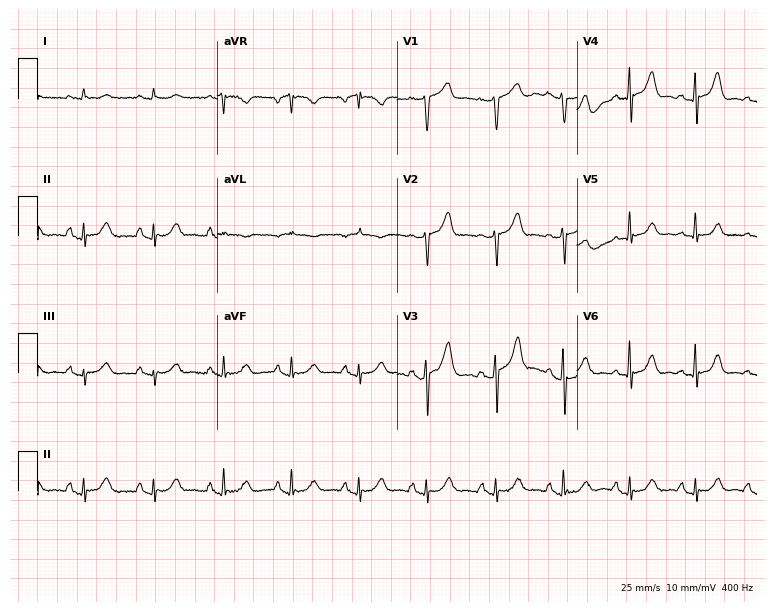
12-lead ECG from a male patient, 67 years old. Recorded interpretation: within normal limits.